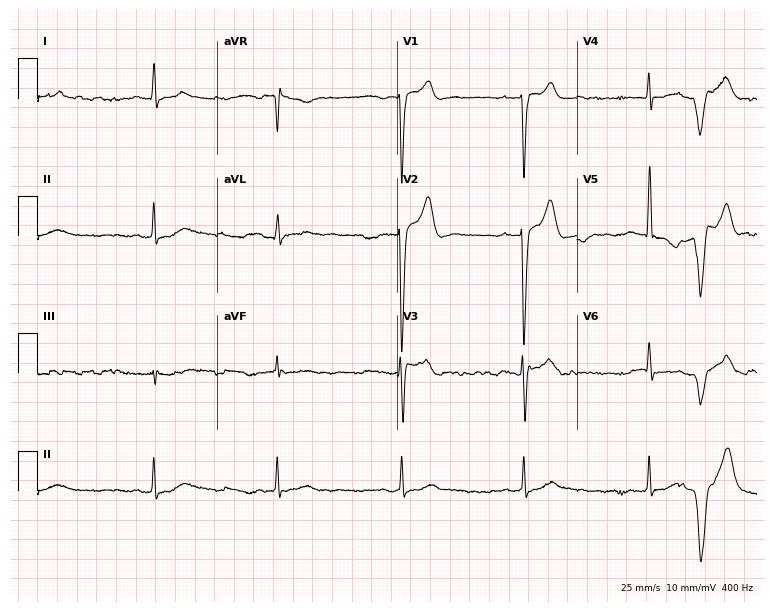
Electrocardiogram, a 57-year-old male patient. Of the six screened findings (first-degree AV block, right bundle branch block (RBBB), left bundle branch block (LBBB), sinus bradycardia, atrial fibrillation (AF), sinus tachycardia), none is recorded. Findings outside these six are not listed.